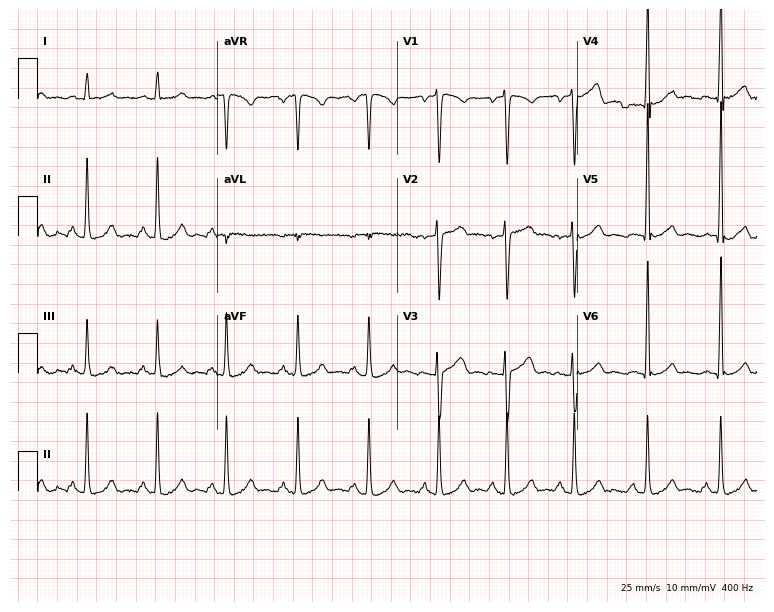
Standard 12-lead ECG recorded from a 37-year-old male (7.3-second recording at 400 Hz). None of these six findings is recorded: first-degree AV block, right bundle branch block, left bundle branch block, sinus bradycardia, atrial fibrillation, sinus tachycardia. Findings outside these six are not listed.